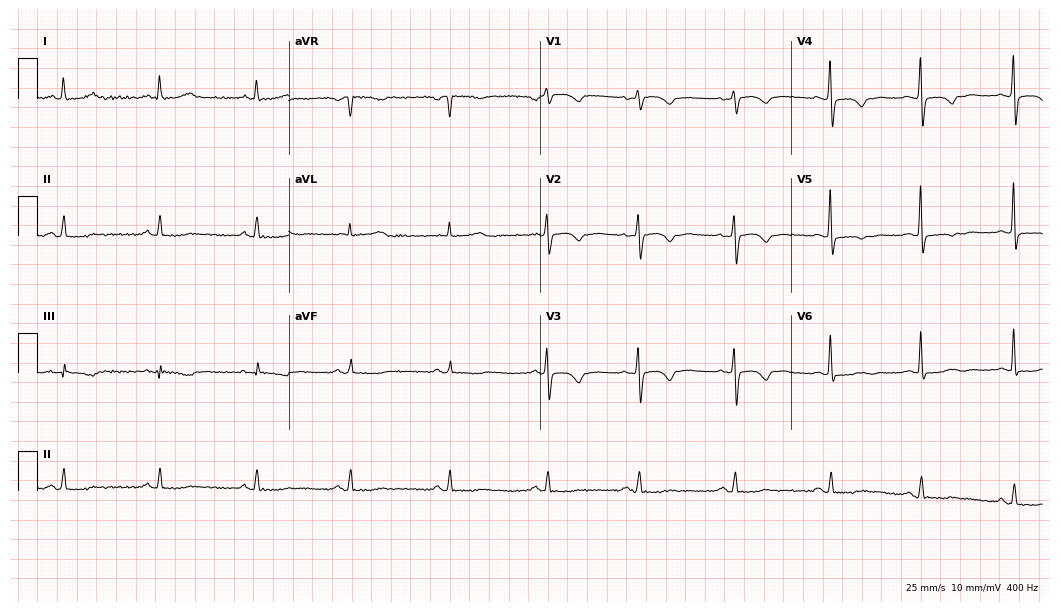
Electrocardiogram, a 61-year-old female patient. Of the six screened findings (first-degree AV block, right bundle branch block, left bundle branch block, sinus bradycardia, atrial fibrillation, sinus tachycardia), none is recorded.